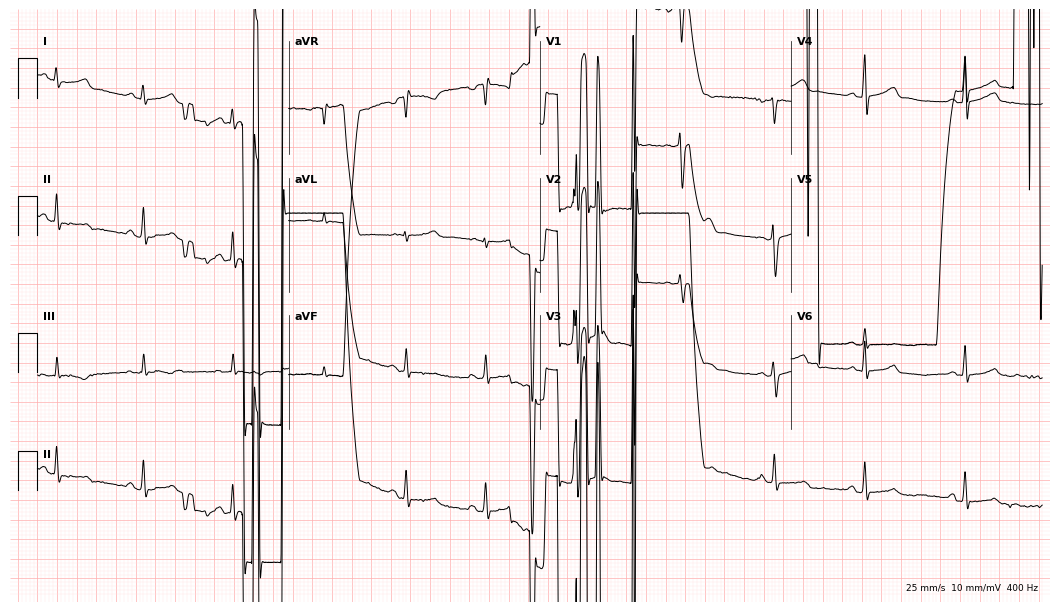
Electrocardiogram (10.2-second recording at 400 Hz), a woman, 25 years old. Of the six screened findings (first-degree AV block, right bundle branch block, left bundle branch block, sinus bradycardia, atrial fibrillation, sinus tachycardia), none is recorded.